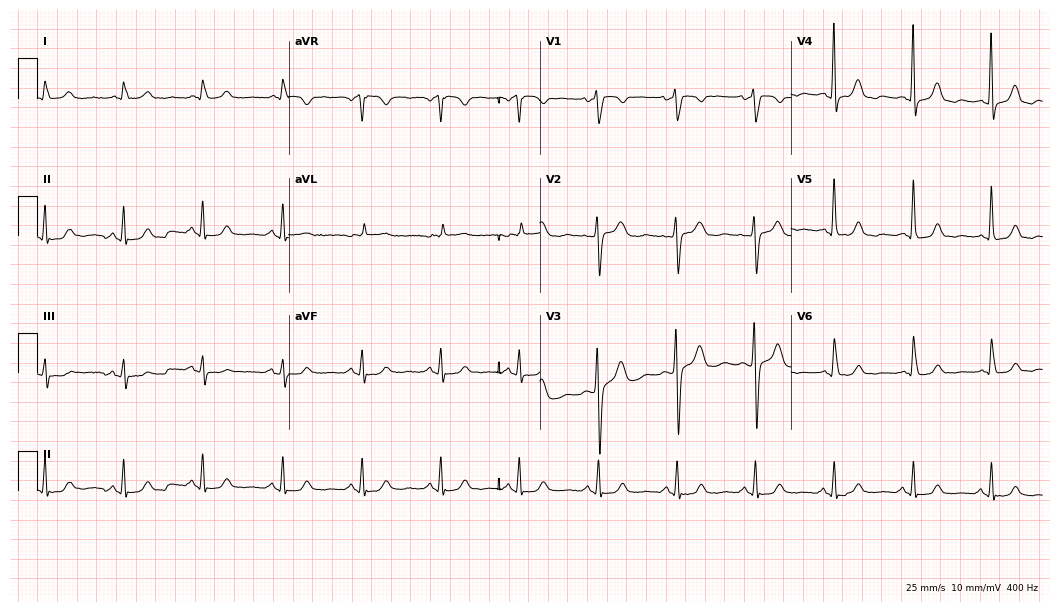
ECG (10.2-second recording at 400 Hz) — an 80-year-old female. Labelled as a normal ECG.